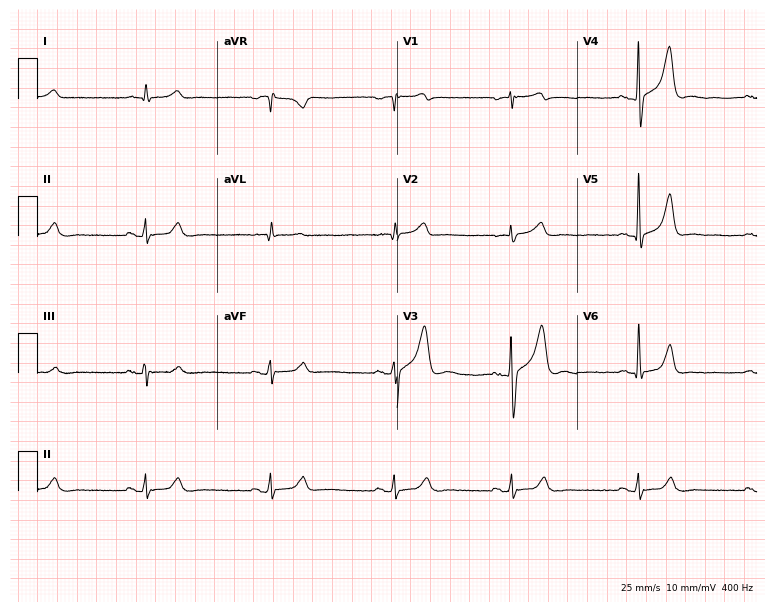
12-lead ECG (7.3-second recording at 400 Hz) from a 47-year-old man. Findings include sinus bradycardia (a sinus rate of 50 beats per minute or less).